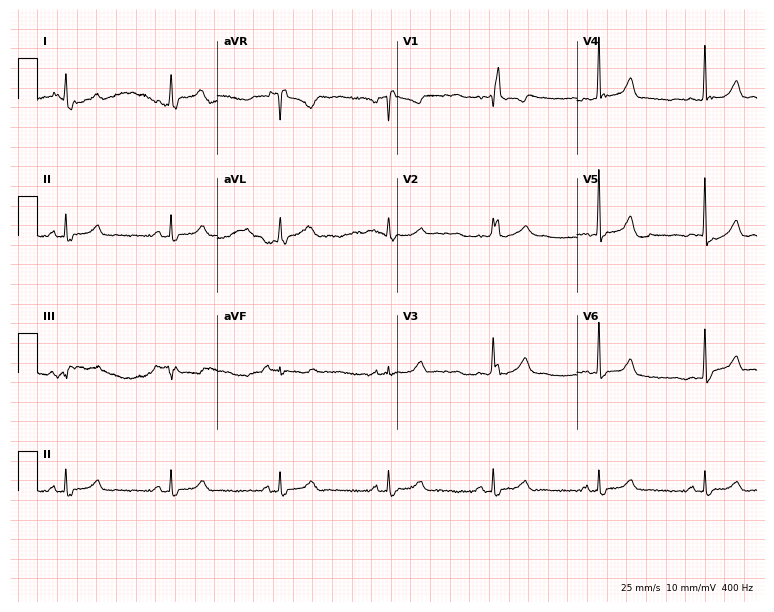
Electrocardiogram (7.3-second recording at 400 Hz), a 70-year-old female patient. Interpretation includes right bundle branch block.